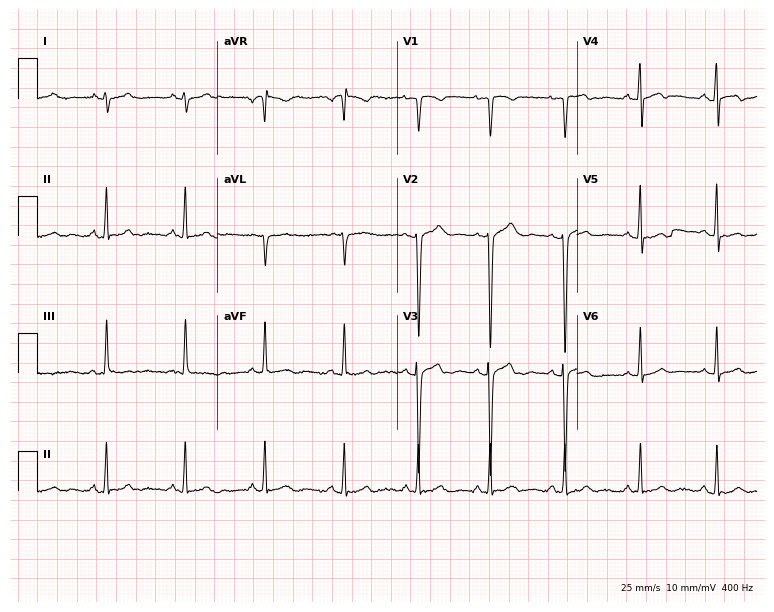
12-lead ECG from an 18-year-old female patient. Screened for six findings — first-degree AV block, right bundle branch block, left bundle branch block, sinus bradycardia, atrial fibrillation, sinus tachycardia — none is recorded. Only these six findings were labelled.